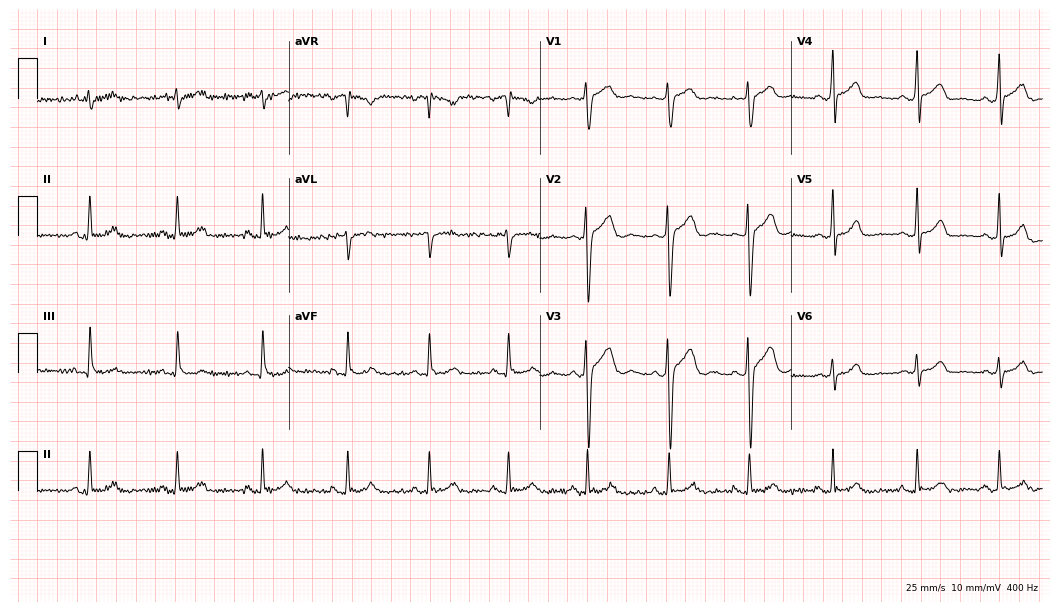
12-lead ECG from a 21-year-old male (10.2-second recording at 400 Hz). No first-degree AV block, right bundle branch block, left bundle branch block, sinus bradycardia, atrial fibrillation or sinus tachycardia recorded for this tracing. Other findings, if any, are not listed.